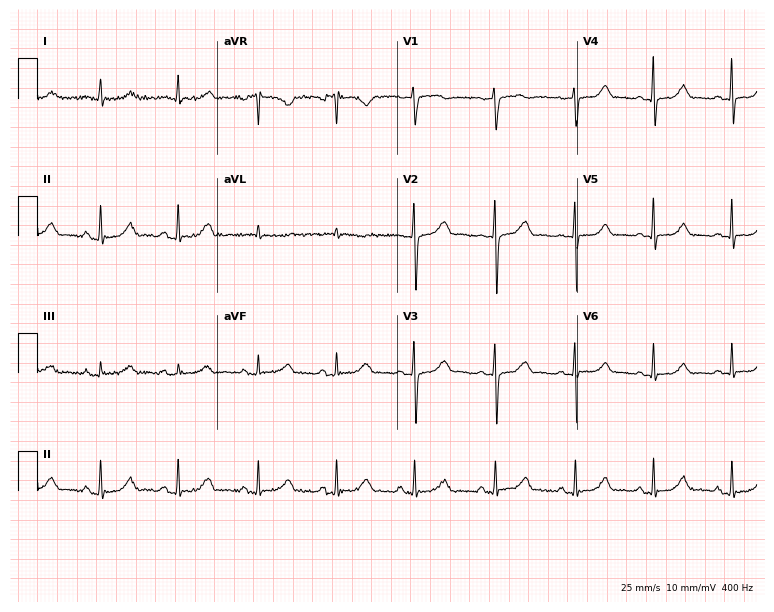
Resting 12-lead electrocardiogram (7.3-second recording at 400 Hz). Patient: a 57-year-old female. None of these six findings is recorded: first-degree AV block, right bundle branch block, left bundle branch block, sinus bradycardia, atrial fibrillation, sinus tachycardia. Other findings, if any, are not listed.